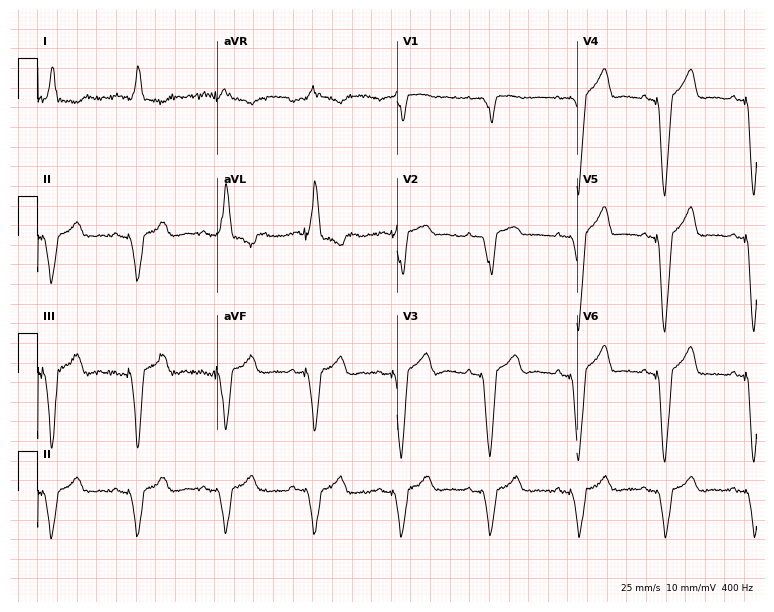
Standard 12-lead ECG recorded from a man, 65 years old. None of these six findings is recorded: first-degree AV block, right bundle branch block, left bundle branch block, sinus bradycardia, atrial fibrillation, sinus tachycardia. Findings outside these six are not listed.